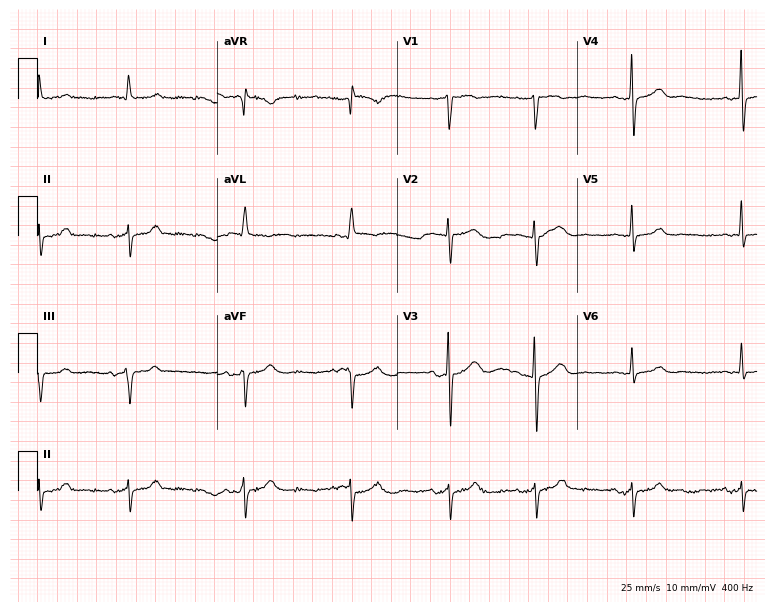
ECG — a female, 79 years old. Screened for six findings — first-degree AV block, right bundle branch block, left bundle branch block, sinus bradycardia, atrial fibrillation, sinus tachycardia — none is recorded.